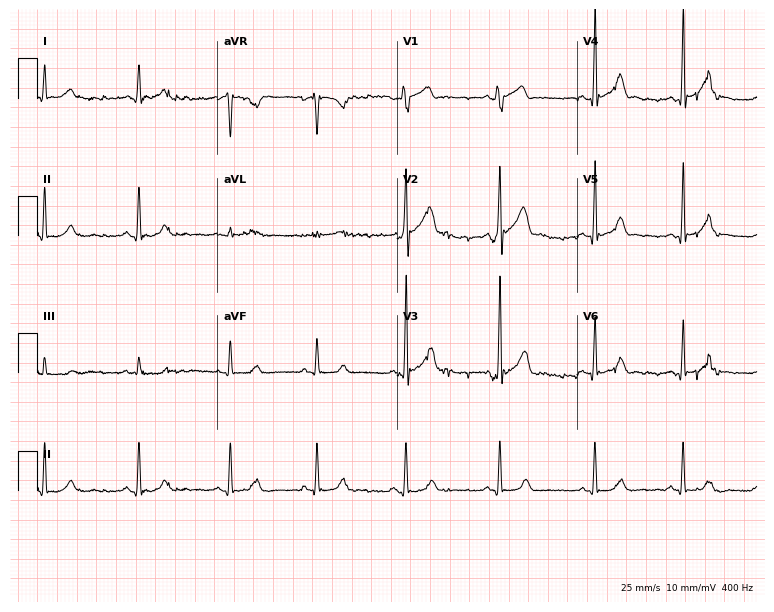
12-lead ECG from a male, 22 years old. Labelled as a normal ECG.